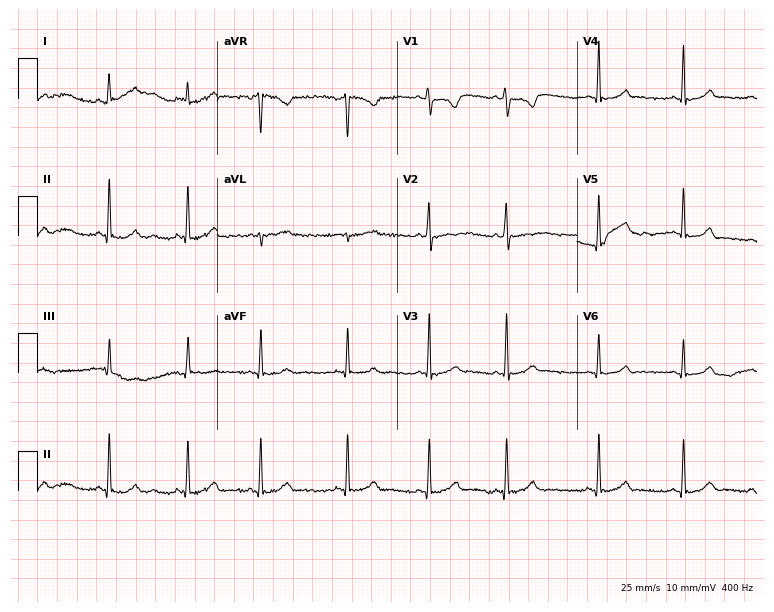
ECG (7.3-second recording at 400 Hz) — a female patient, 21 years old. Labelled as a normal ECG.